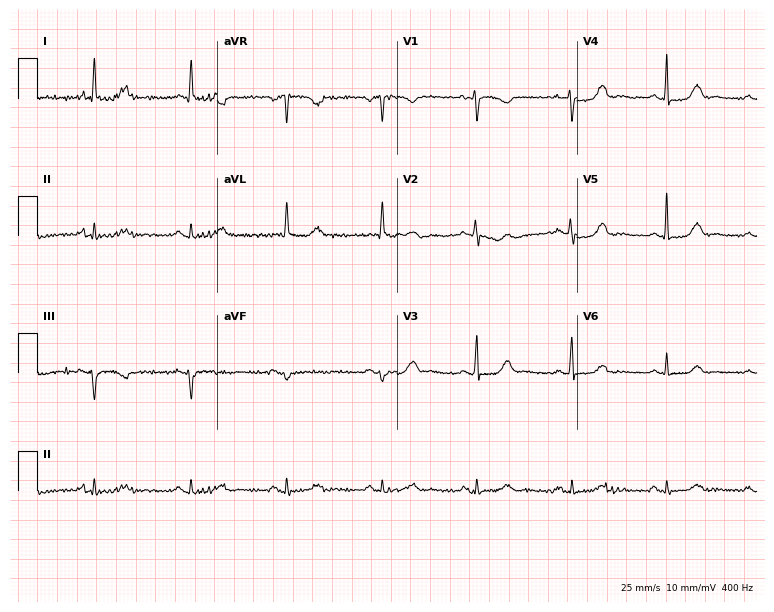
Resting 12-lead electrocardiogram. Patient: a 72-year-old female. None of these six findings is recorded: first-degree AV block, right bundle branch block, left bundle branch block, sinus bradycardia, atrial fibrillation, sinus tachycardia. Findings outside these six are not listed.